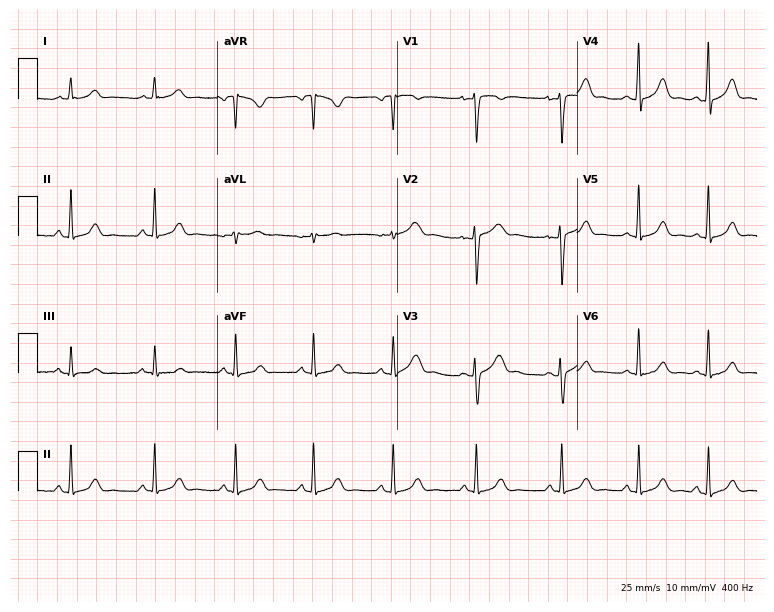
12-lead ECG from a 34-year-old female. No first-degree AV block, right bundle branch block, left bundle branch block, sinus bradycardia, atrial fibrillation or sinus tachycardia recorded for this tracing.